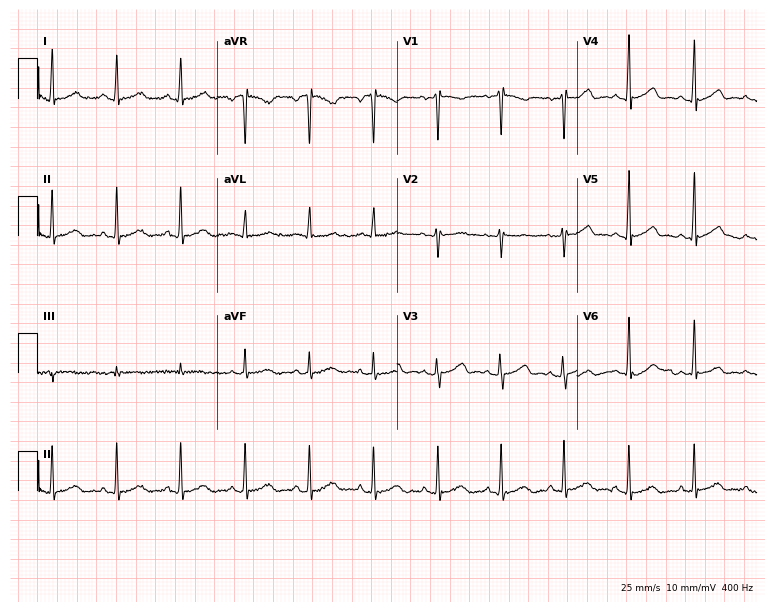
Electrocardiogram (7.3-second recording at 400 Hz), a 32-year-old female patient. Overall reading on record: normal ECG.